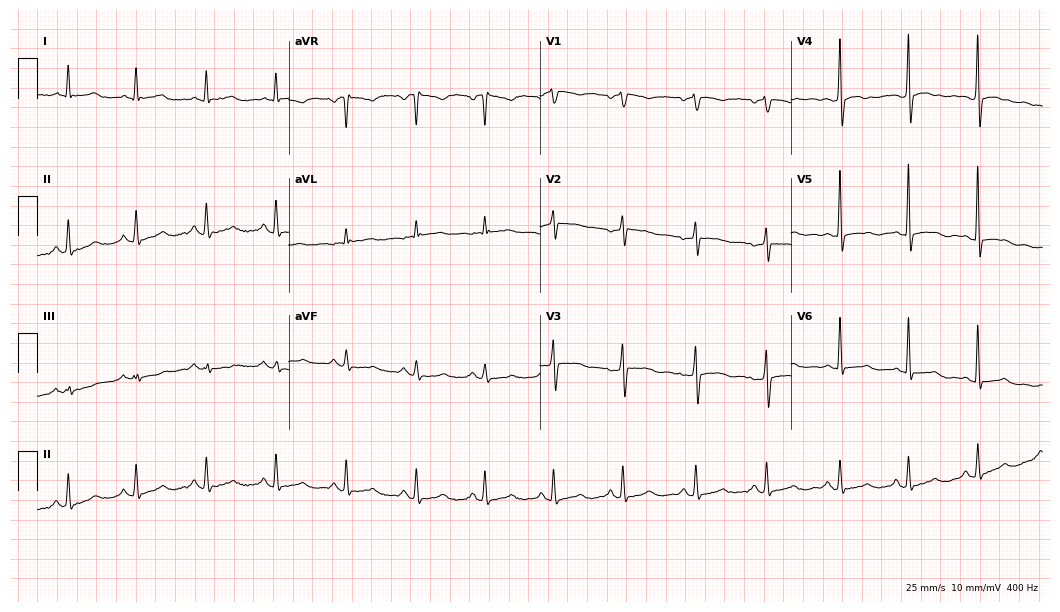
Standard 12-lead ECG recorded from a woman, 58 years old (10.2-second recording at 400 Hz). None of these six findings is recorded: first-degree AV block, right bundle branch block, left bundle branch block, sinus bradycardia, atrial fibrillation, sinus tachycardia.